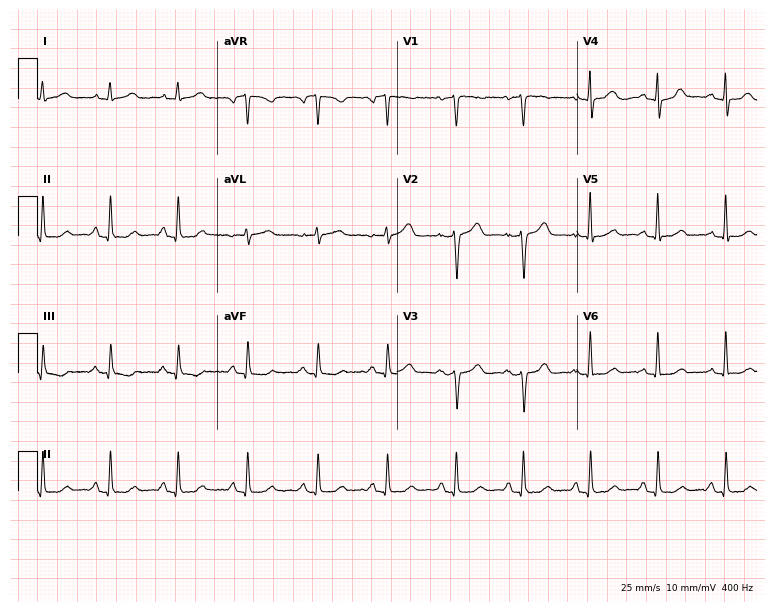
Electrocardiogram, a 54-year-old woman. Of the six screened findings (first-degree AV block, right bundle branch block (RBBB), left bundle branch block (LBBB), sinus bradycardia, atrial fibrillation (AF), sinus tachycardia), none is recorded.